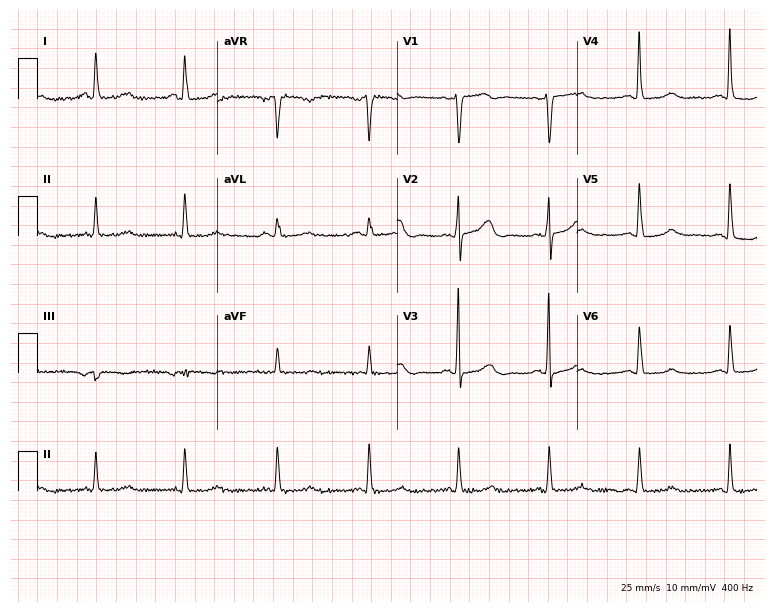
Standard 12-lead ECG recorded from a woman, 71 years old (7.3-second recording at 400 Hz). None of these six findings is recorded: first-degree AV block, right bundle branch block (RBBB), left bundle branch block (LBBB), sinus bradycardia, atrial fibrillation (AF), sinus tachycardia.